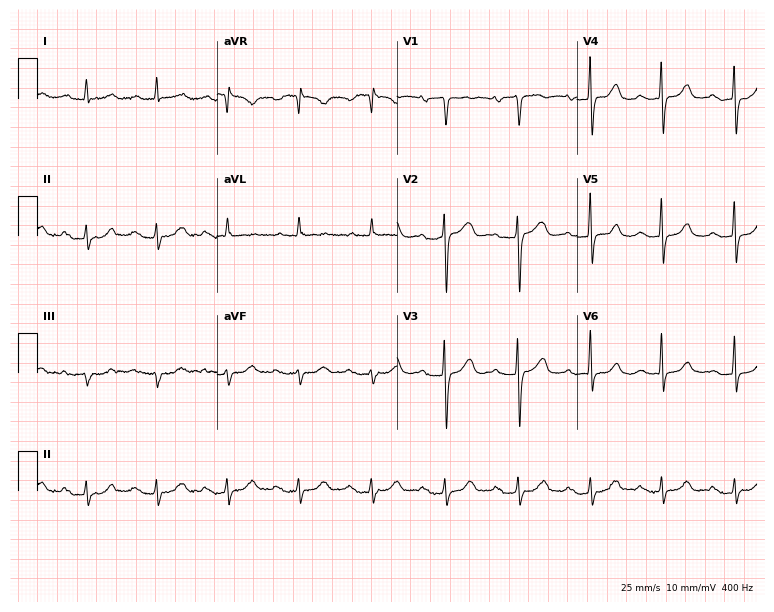
12-lead ECG (7.3-second recording at 400 Hz) from a male, 75 years old. Findings include first-degree AV block.